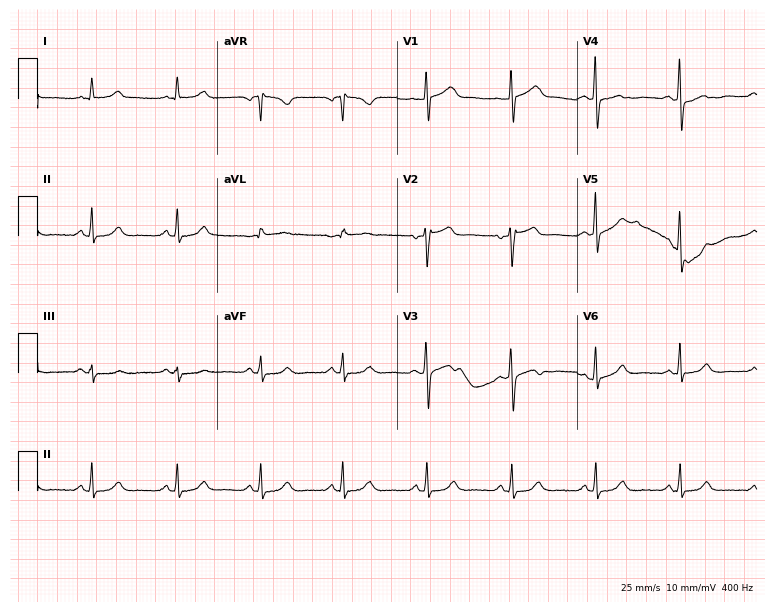
12-lead ECG from a female, 55 years old. Screened for six findings — first-degree AV block, right bundle branch block (RBBB), left bundle branch block (LBBB), sinus bradycardia, atrial fibrillation (AF), sinus tachycardia — none is recorded. Findings outside these six are not listed.